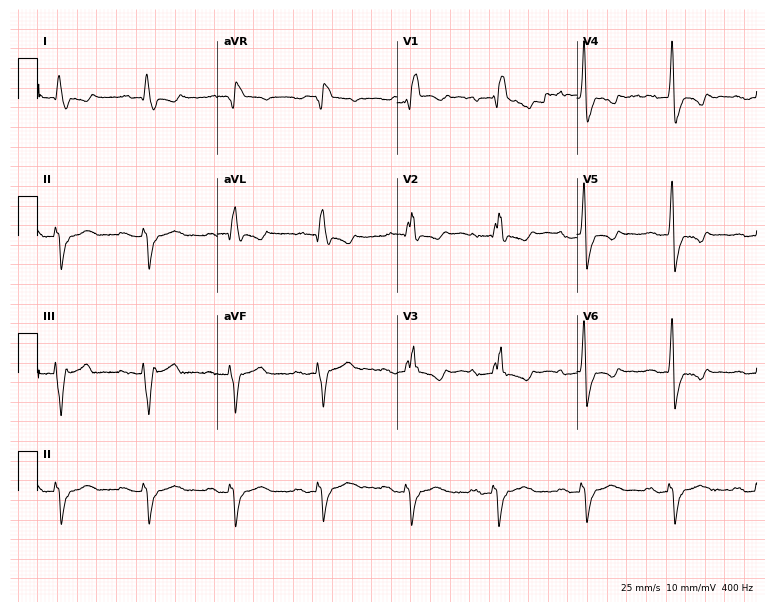
12-lead ECG from a 78-year-old female patient (7.3-second recording at 400 Hz). Shows first-degree AV block, right bundle branch block.